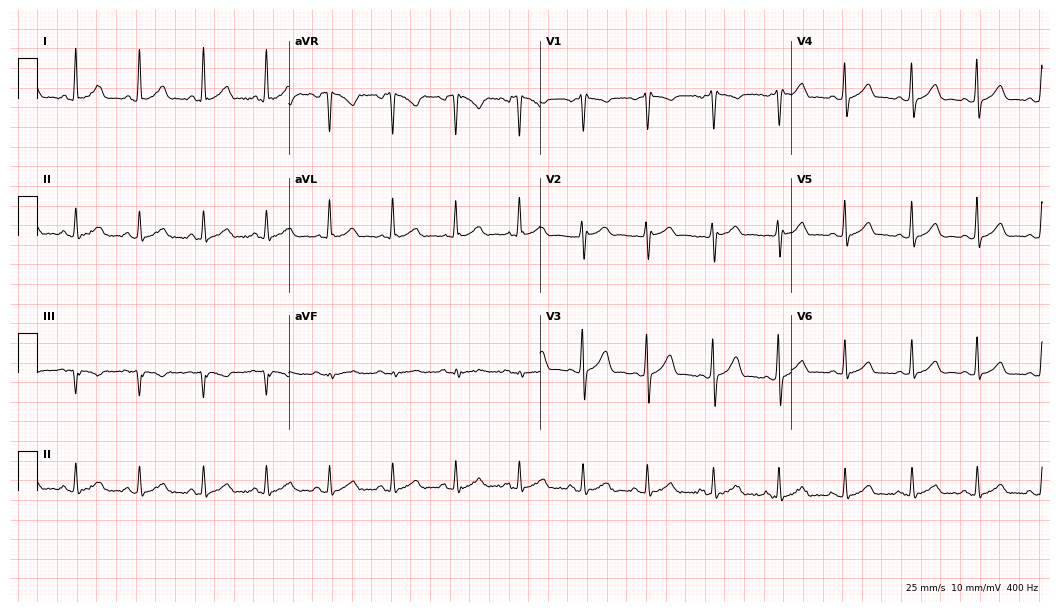
Electrocardiogram (10.2-second recording at 400 Hz), a female patient, 32 years old. Overall reading on record: normal ECG.